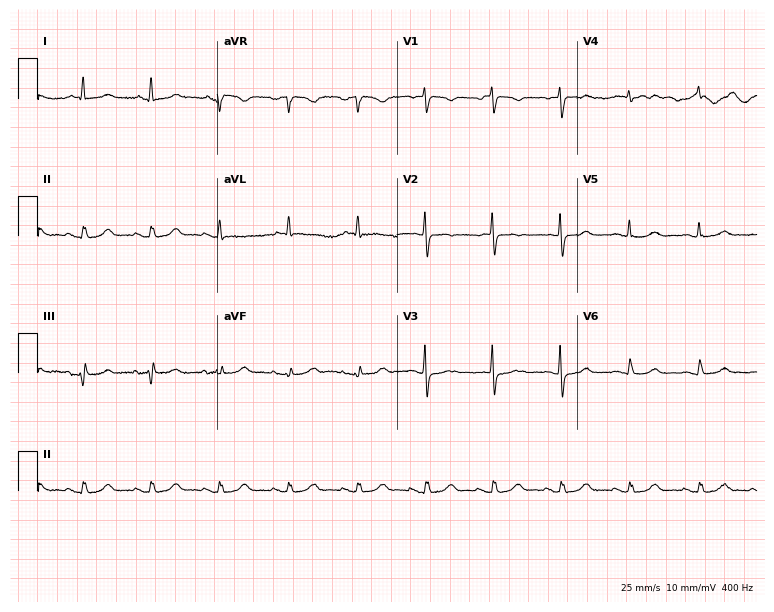
12-lead ECG from a 78-year-old female. No first-degree AV block, right bundle branch block, left bundle branch block, sinus bradycardia, atrial fibrillation or sinus tachycardia recorded for this tracing. Only these six findings were labelled.